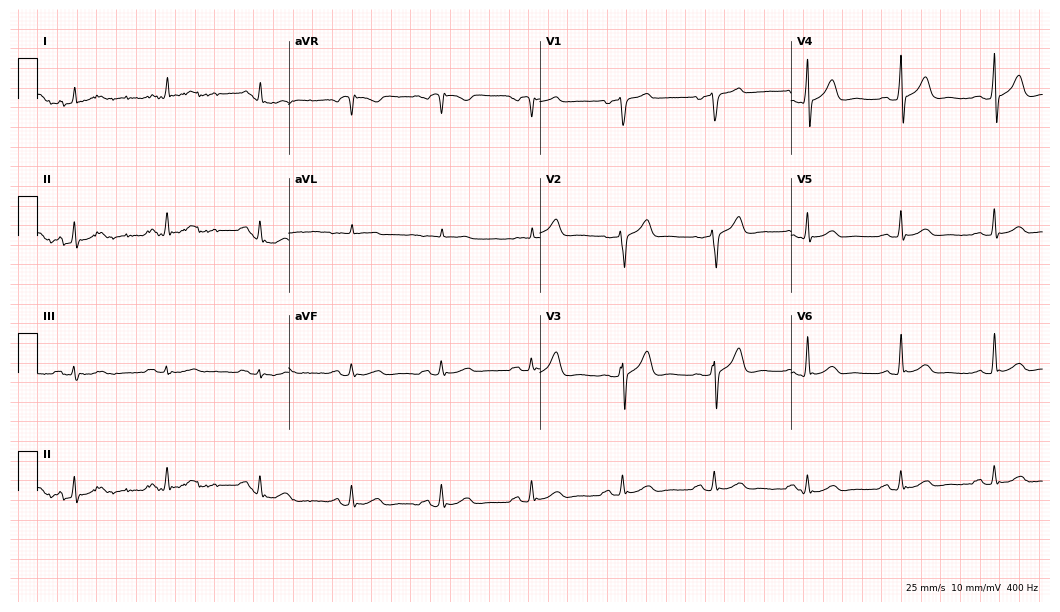
Electrocardiogram, a male, 71 years old. Overall reading on record: normal ECG.